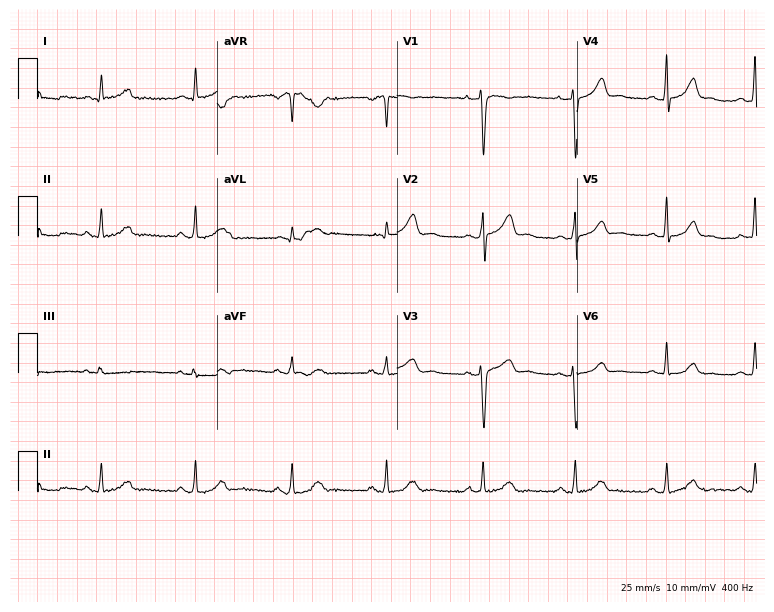
12-lead ECG from a 39-year-old female (7.3-second recording at 400 Hz). Recorded interpretation: within normal limits.